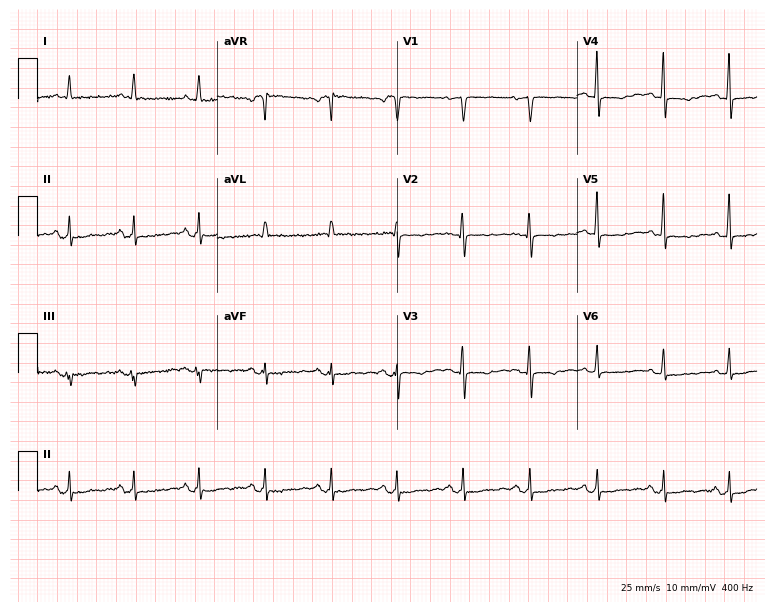
Resting 12-lead electrocardiogram (7.3-second recording at 400 Hz). Patient: a 77-year-old female. None of these six findings is recorded: first-degree AV block, right bundle branch block, left bundle branch block, sinus bradycardia, atrial fibrillation, sinus tachycardia.